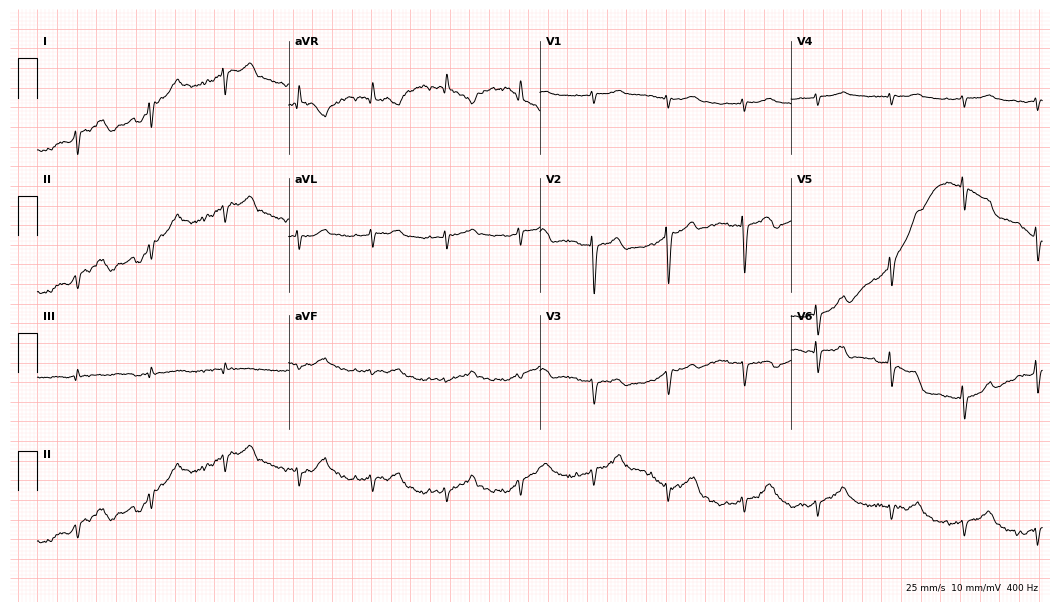
ECG (10.2-second recording at 400 Hz) — an 85-year-old female patient. Screened for six findings — first-degree AV block, right bundle branch block, left bundle branch block, sinus bradycardia, atrial fibrillation, sinus tachycardia — none is recorded.